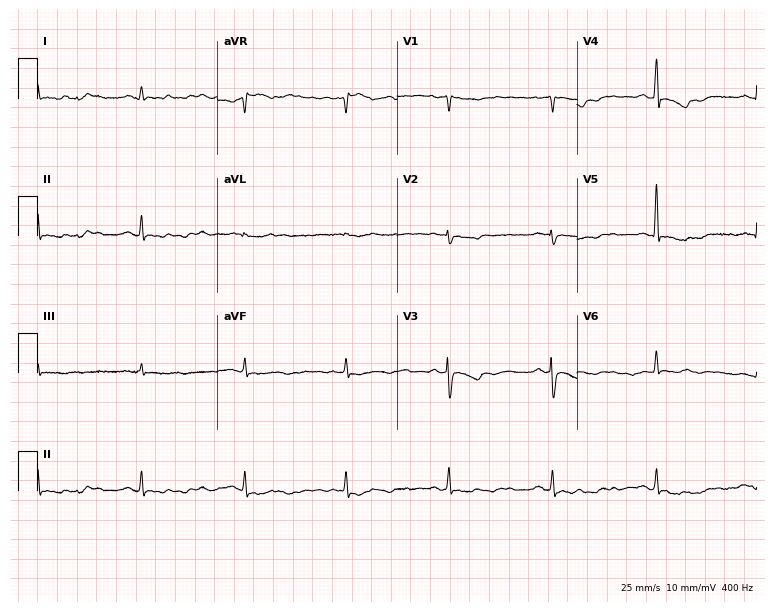
Electrocardiogram (7.3-second recording at 400 Hz), a man, 71 years old. Of the six screened findings (first-degree AV block, right bundle branch block (RBBB), left bundle branch block (LBBB), sinus bradycardia, atrial fibrillation (AF), sinus tachycardia), none is recorded.